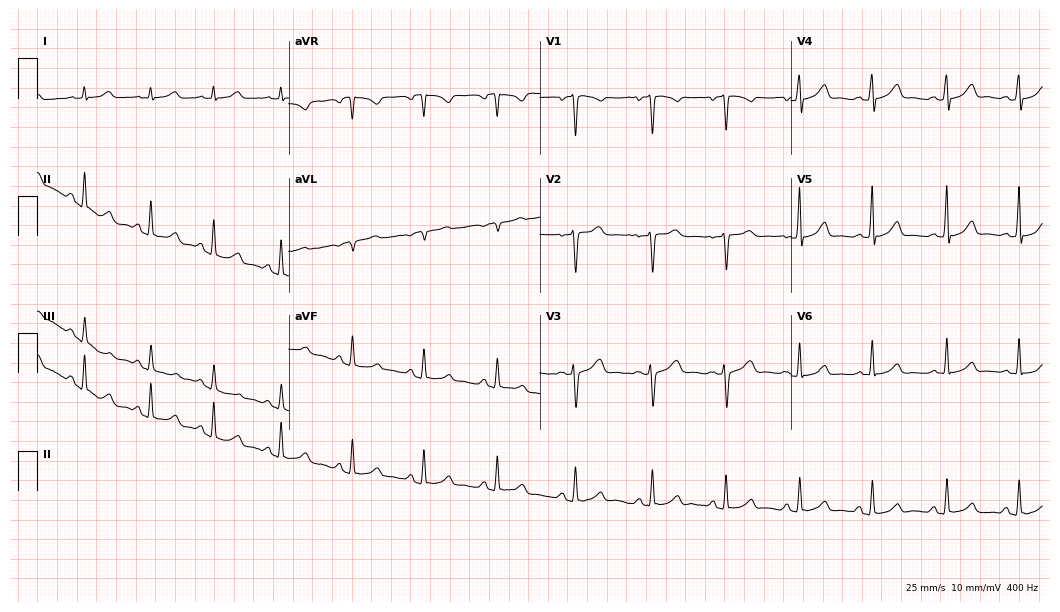
ECG — a 45-year-old female. Screened for six findings — first-degree AV block, right bundle branch block (RBBB), left bundle branch block (LBBB), sinus bradycardia, atrial fibrillation (AF), sinus tachycardia — none is recorded. Other findings, if any, are not listed.